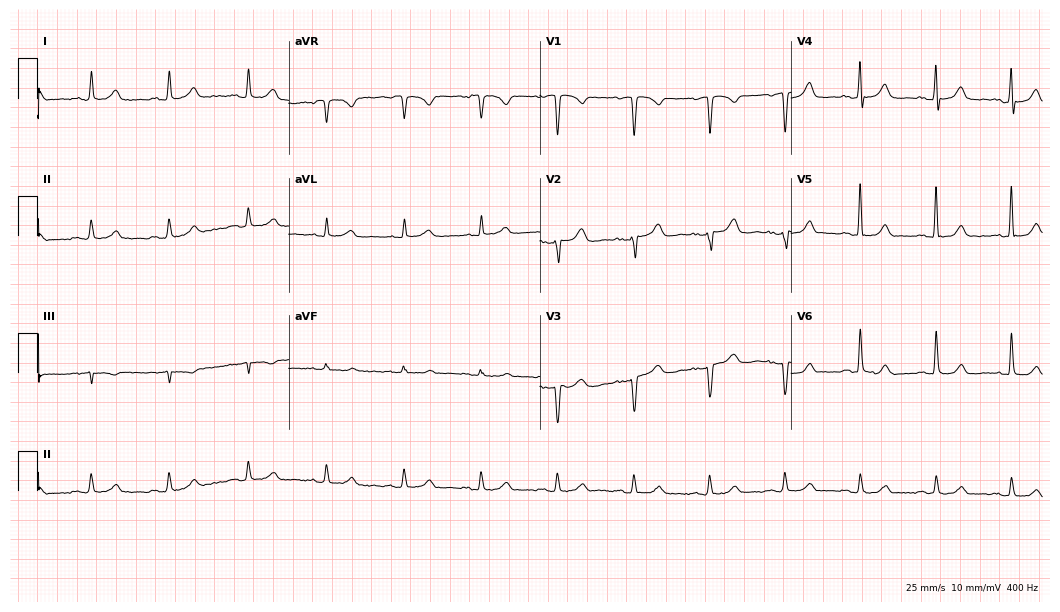
ECG (10.2-second recording at 400 Hz) — a woman, 50 years old. Labelled as a normal ECG.